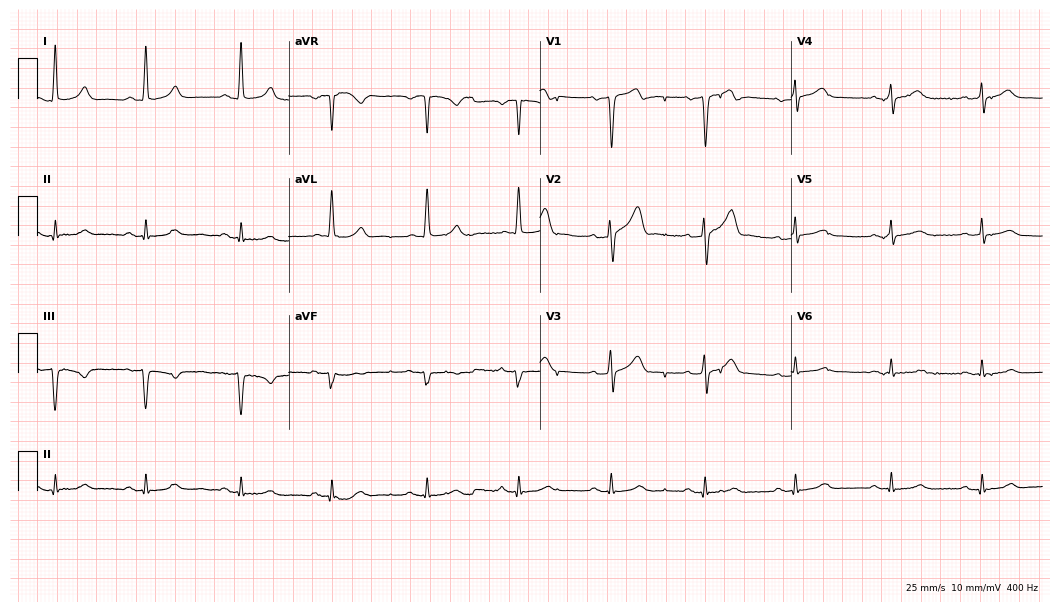
12-lead ECG (10.2-second recording at 400 Hz) from a 58-year-old male. Labelled as a normal ECG.